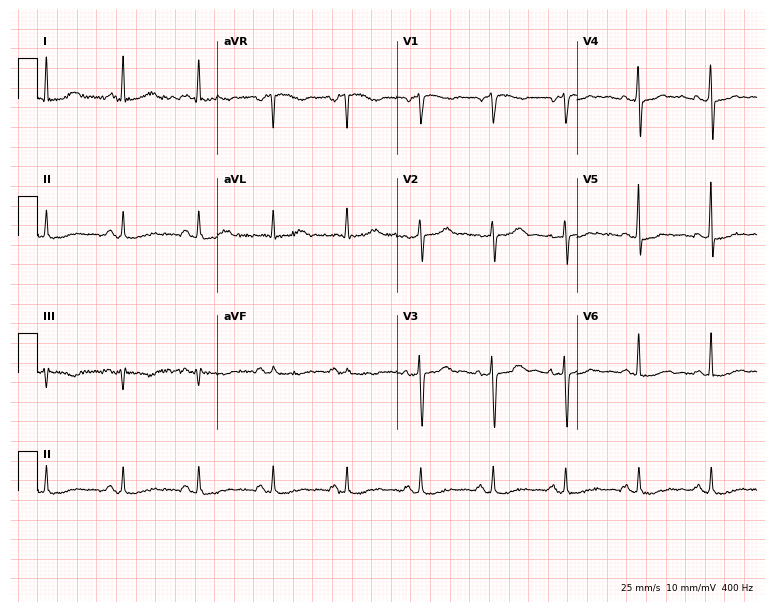
12-lead ECG from a female patient, 48 years old. Screened for six findings — first-degree AV block, right bundle branch block (RBBB), left bundle branch block (LBBB), sinus bradycardia, atrial fibrillation (AF), sinus tachycardia — none is recorded. Findings outside these six are not listed.